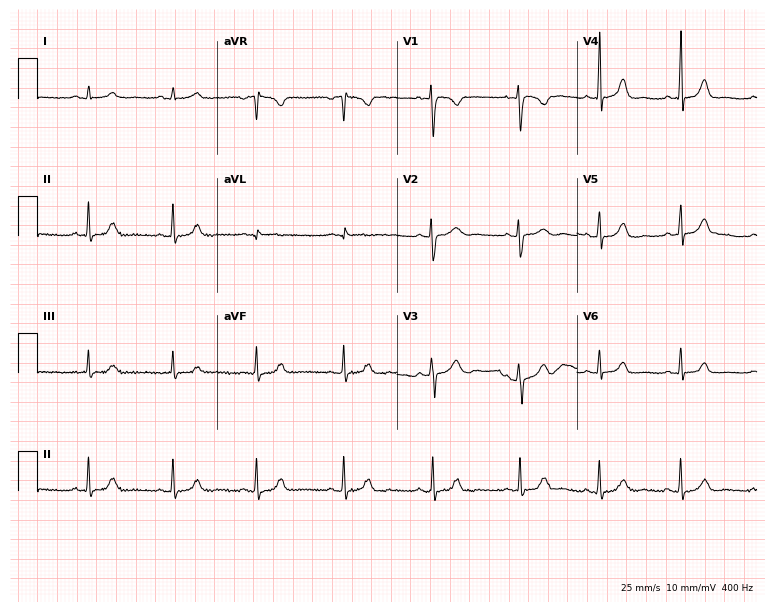
Resting 12-lead electrocardiogram (7.3-second recording at 400 Hz). Patient: a 23-year-old female. Read as a normal ECG.